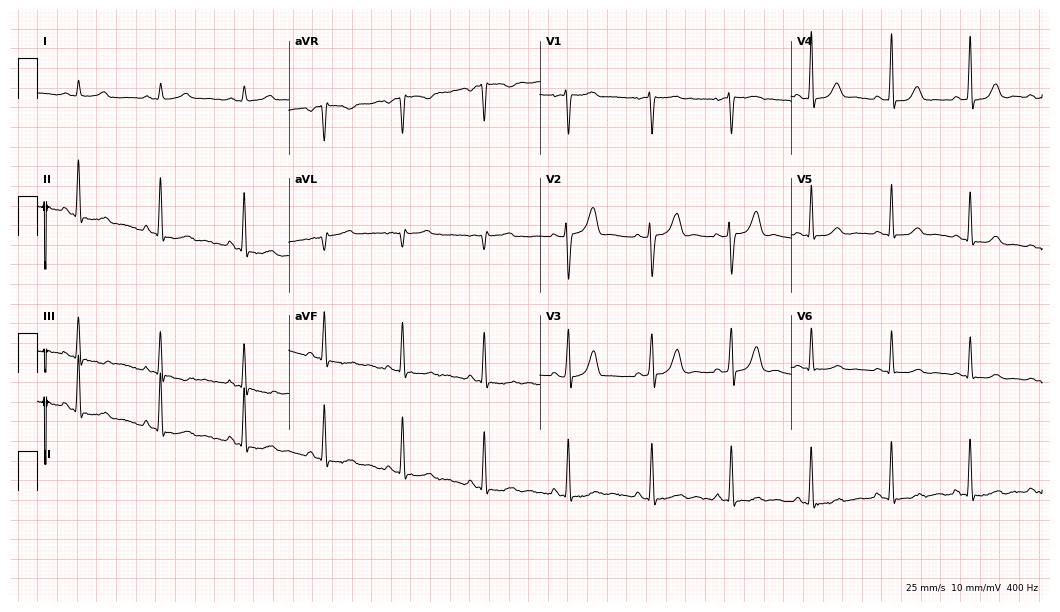
ECG — a female patient, 29 years old. Labelled as a normal ECG.